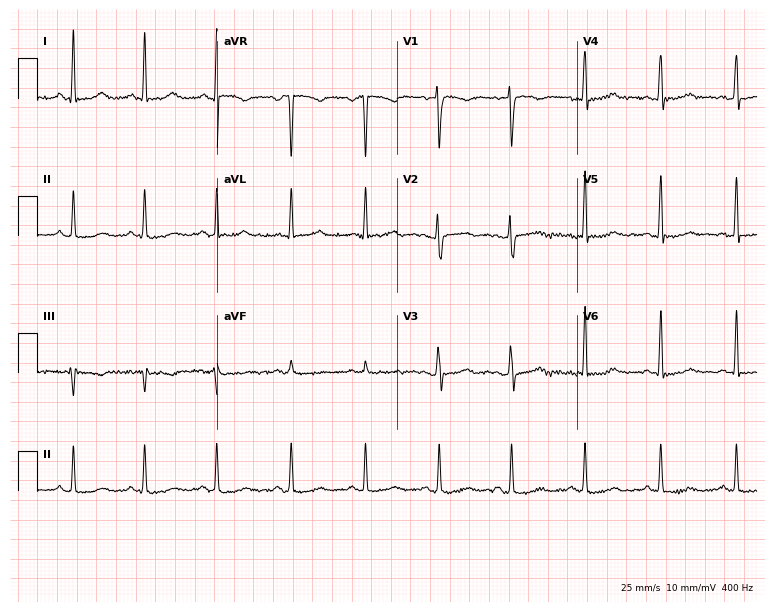
Standard 12-lead ECG recorded from a female, 40 years old (7.3-second recording at 400 Hz). None of these six findings is recorded: first-degree AV block, right bundle branch block (RBBB), left bundle branch block (LBBB), sinus bradycardia, atrial fibrillation (AF), sinus tachycardia.